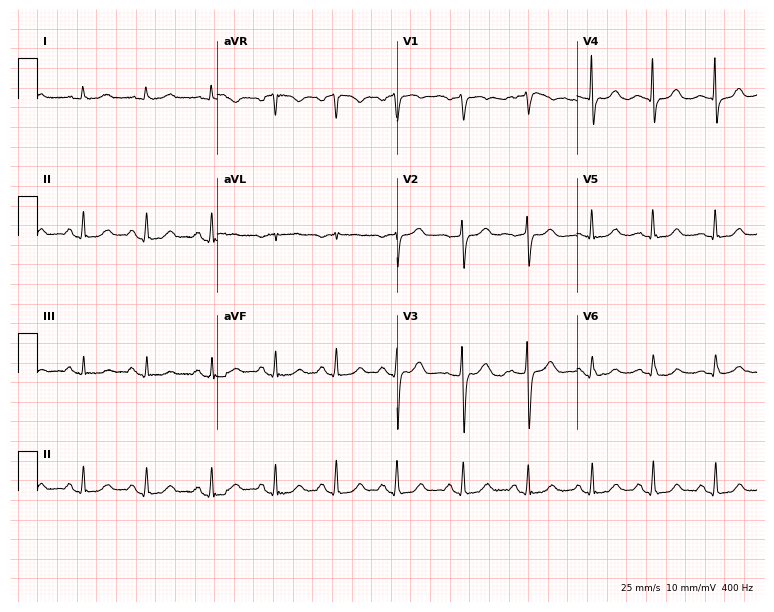
ECG — a female, 76 years old. Labelled as a normal ECG.